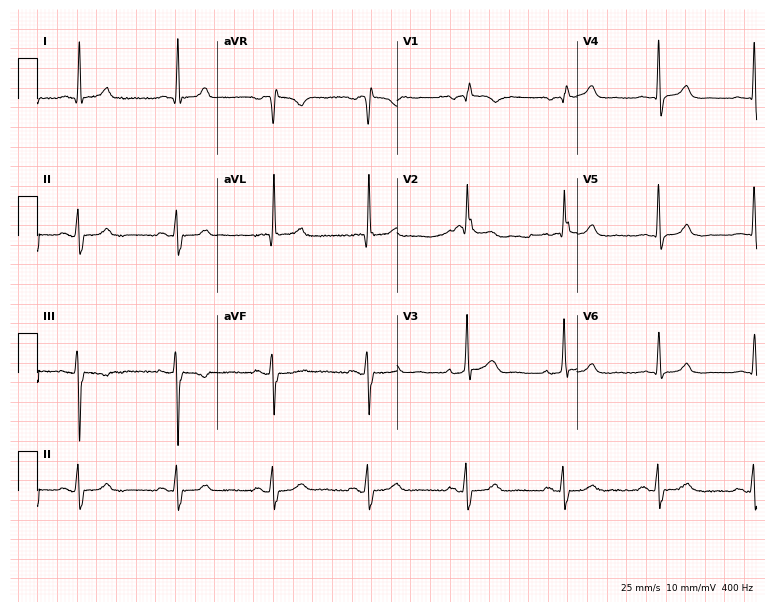
ECG — a male, 74 years old. Screened for six findings — first-degree AV block, right bundle branch block (RBBB), left bundle branch block (LBBB), sinus bradycardia, atrial fibrillation (AF), sinus tachycardia — none is recorded.